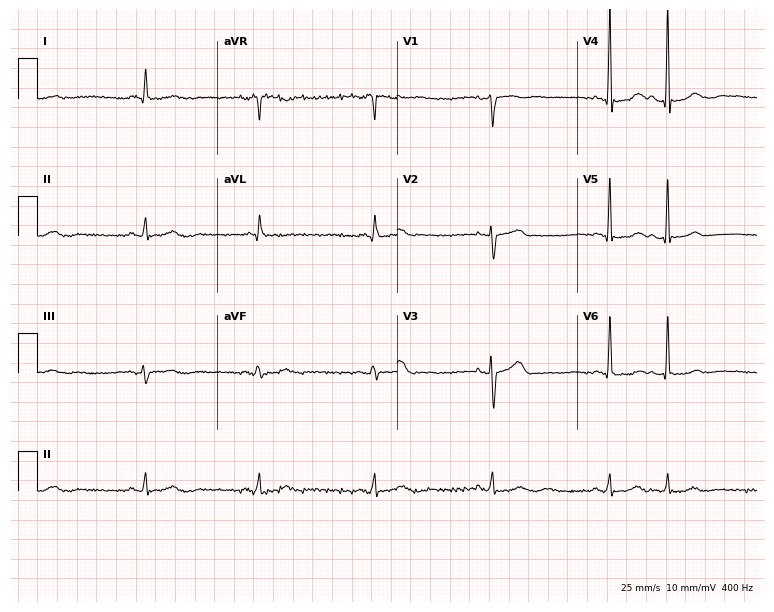
Electrocardiogram (7.3-second recording at 400 Hz), a 76-year-old man. Overall reading on record: normal ECG.